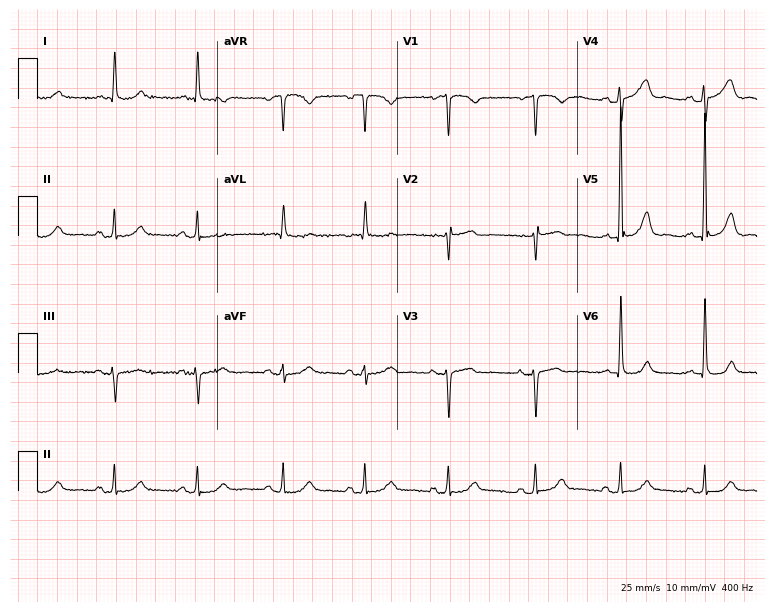
ECG (7.3-second recording at 400 Hz) — a woman, 83 years old. Screened for six findings — first-degree AV block, right bundle branch block, left bundle branch block, sinus bradycardia, atrial fibrillation, sinus tachycardia — none is recorded. Other findings, if any, are not listed.